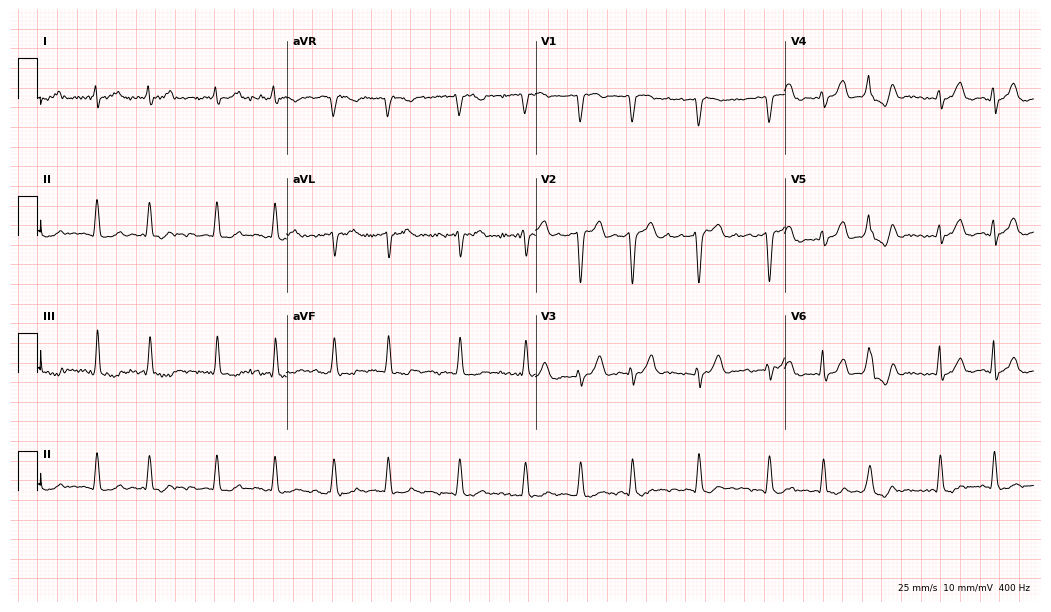
12-lead ECG (10.2-second recording at 400 Hz) from a 74-year-old man. Findings include atrial fibrillation.